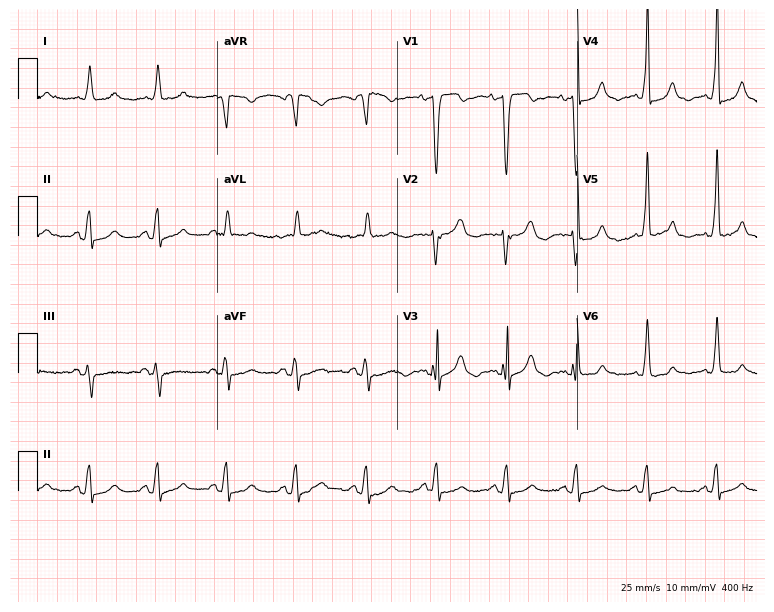
12-lead ECG from a woman, 79 years old (7.3-second recording at 400 Hz). No first-degree AV block, right bundle branch block, left bundle branch block, sinus bradycardia, atrial fibrillation or sinus tachycardia recorded for this tracing.